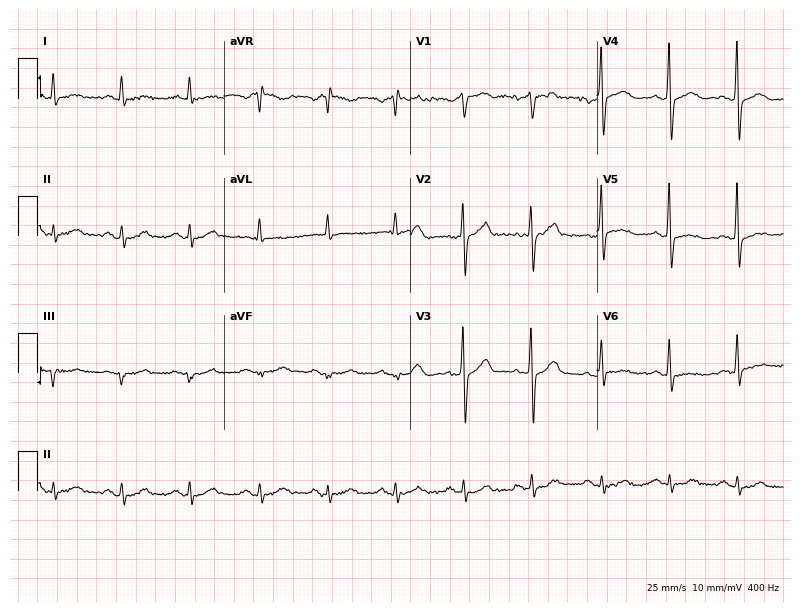
Resting 12-lead electrocardiogram (7.6-second recording at 400 Hz). Patient: a man, 69 years old. None of these six findings is recorded: first-degree AV block, right bundle branch block, left bundle branch block, sinus bradycardia, atrial fibrillation, sinus tachycardia.